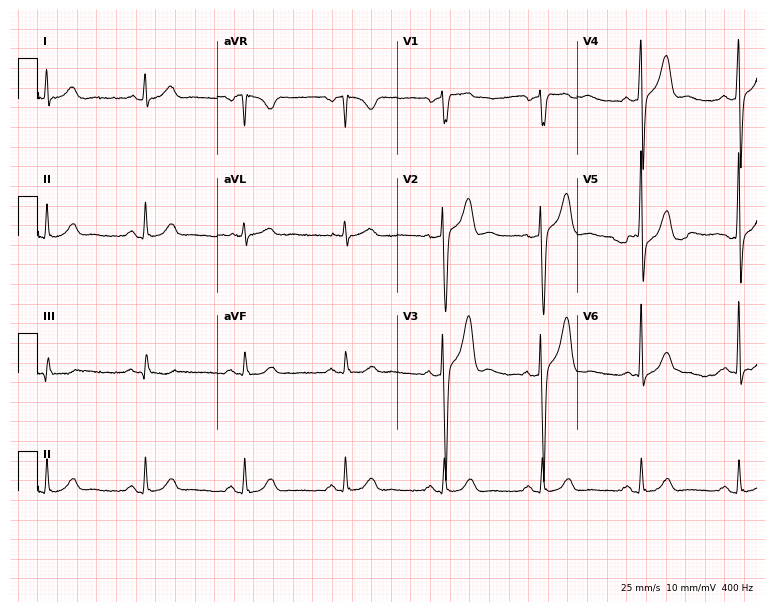
12-lead ECG (7.3-second recording at 400 Hz) from a male patient, 65 years old. Screened for six findings — first-degree AV block, right bundle branch block, left bundle branch block, sinus bradycardia, atrial fibrillation, sinus tachycardia — none is recorded.